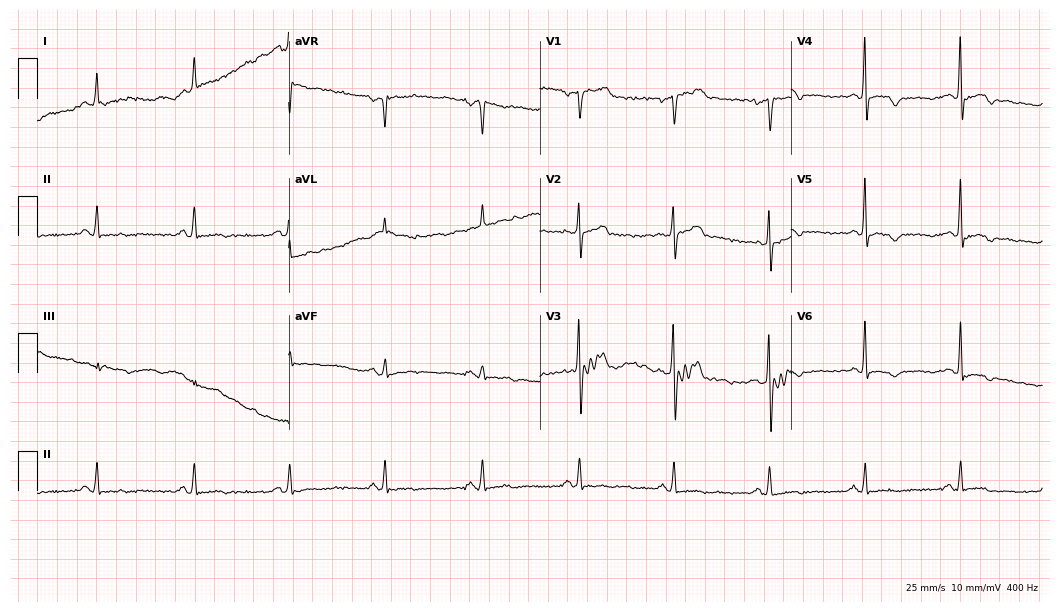
ECG — a male patient, 48 years old. Screened for six findings — first-degree AV block, right bundle branch block (RBBB), left bundle branch block (LBBB), sinus bradycardia, atrial fibrillation (AF), sinus tachycardia — none is recorded. Only these six findings were labelled.